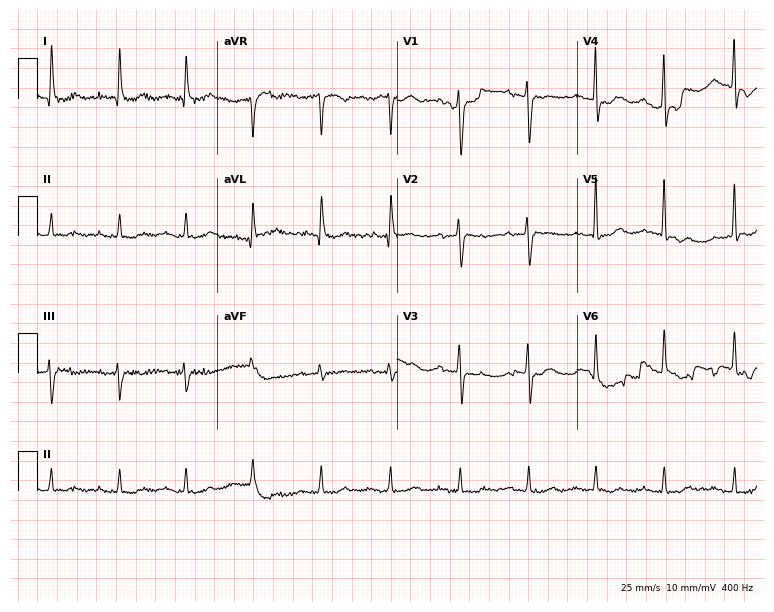
Resting 12-lead electrocardiogram (7.3-second recording at 400 Hz). Patient: a 77-year-old man. None of these six findings is recorded: first-degree AV block, right bundle branch block, left bundle branch block, sinus bradycardia, atrial fibrillation, sinus tachycardia. Findings outside these six are not listed.